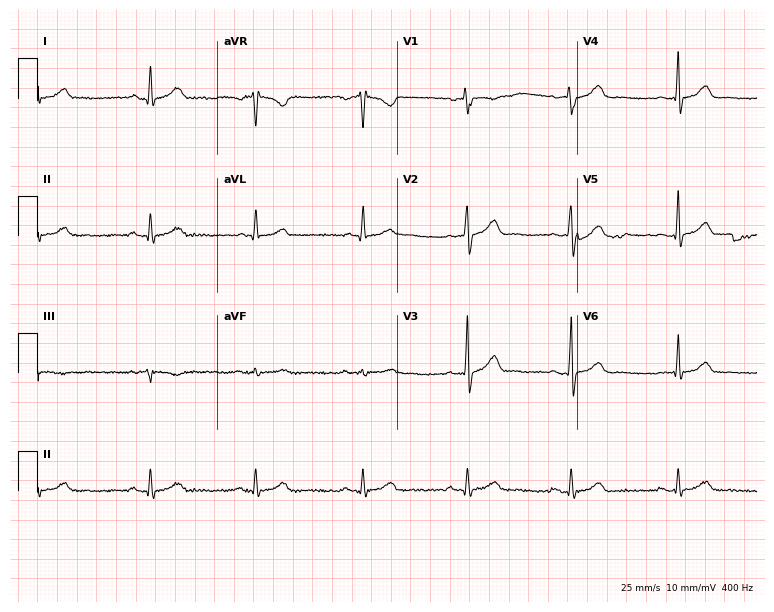
ECG — a 36-year-old man. Screened for six findings — first-degree AV block, right bundle branch block, left bundle branch block, sinus bradycardia, atrial fibrillation, sinus tachycardia — none is recorded.